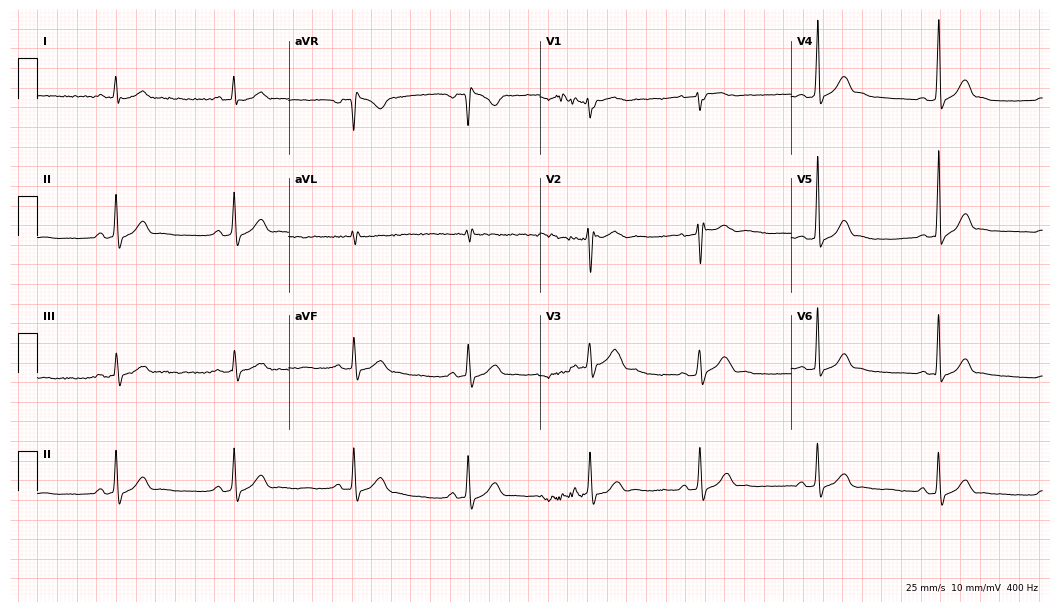
12-lead ECG from a man, 26 years old (10.2-second recording at 400 Hz). Shows sinus bradycardia (a sinus rate of 50 beats per minute or less).